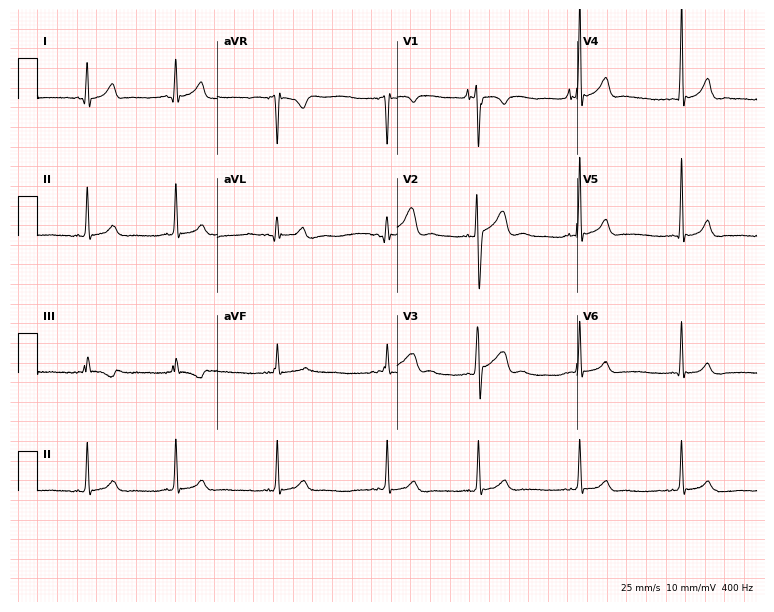
Resting 12-lead electrocardiogram. Patient: a male, 19 years old. Read as a normal ECG.